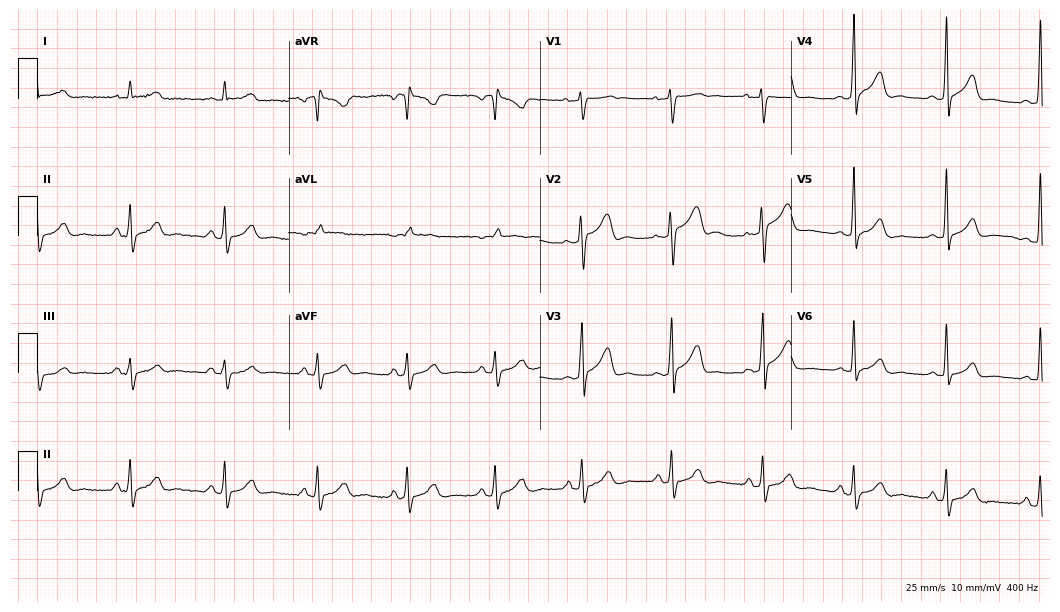
ECG (10.2-second recording at 400 Hz) — a 56-year-old man. Labelled as a normal ECG.